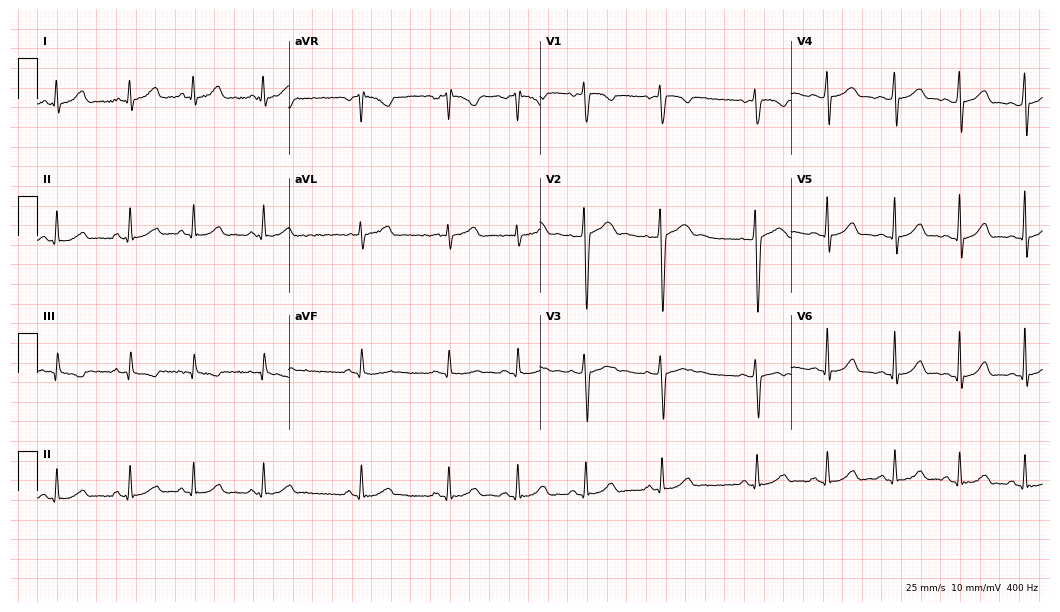
12-lead ECG from a woman, 22 years old. Labelled as a normal ECG.